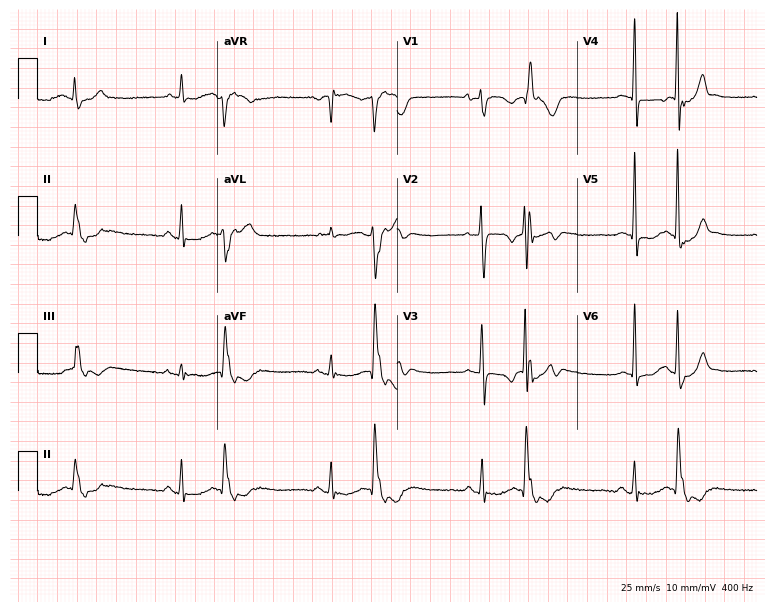
Electrocardiogram (7.3-second recording at 400 Hz), a 74-year-old female patient. Of the six screened findings (first-degree AV block, right bundle branch block (RBBB), left bundle branch block (LBBB), sinus bradycardia, atrial fibrillation (AF), sinus tachycardia), none is recorded. Other findings, if any, are not listed.